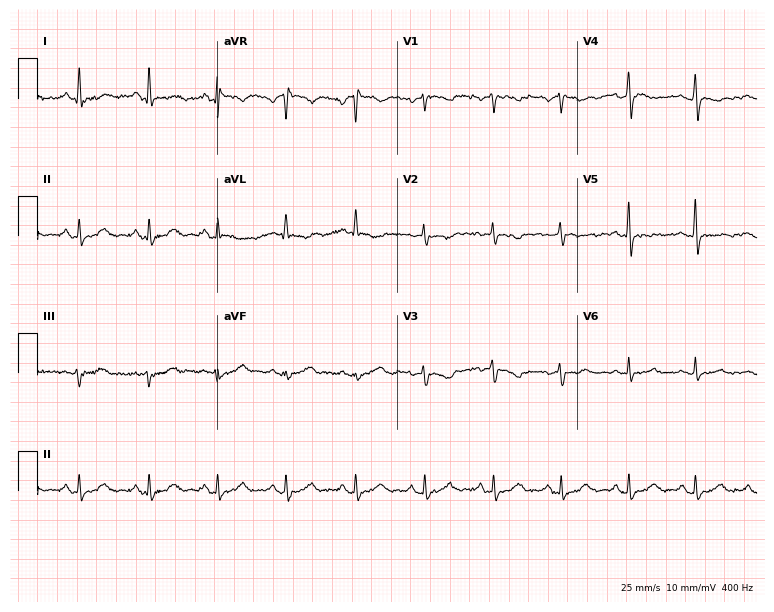
12-lead ECG from a female patient, 52 years old. Screened for six findings — first-degree AV block, right bundle branch block, left bundle branch block, sinus bradycardia, atrial fibrillation, sinus tachycardia — none is recorded. Only these six findings were labelled.